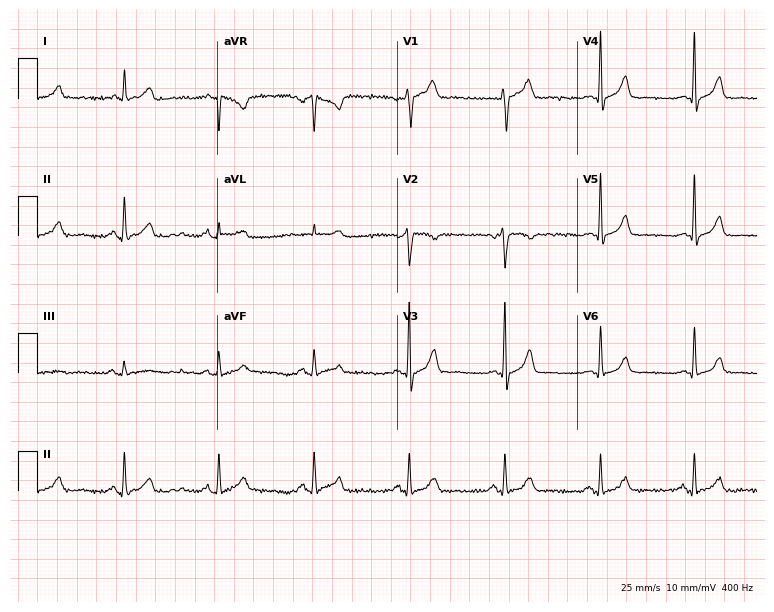
ECG (7.3-second recording at 400 Hz) — a 46-year-old male patient. Labelled as a normal ECG.